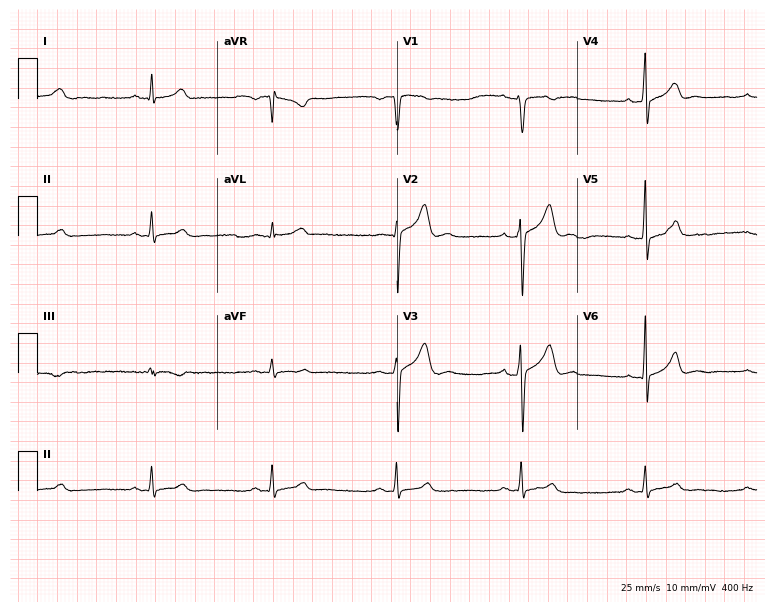
Resting 12-lead electrocardiogram. Patient: a 31-year-old male. None of these six findings is recorded: first-degree AV block, right bundle branch block, left bundle branch block, sinus bradycardia, atrial fibrillation, sinus tachycardia.